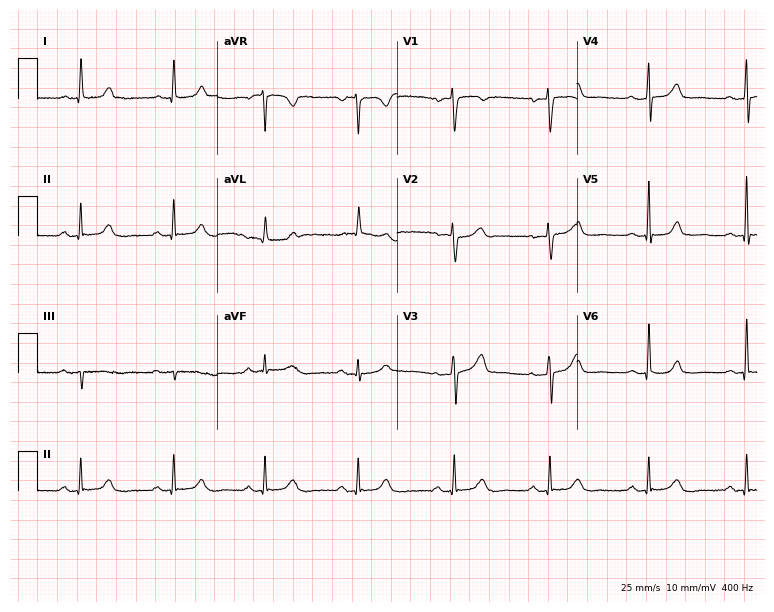
ECG — a 64-year-old female patient. Labelled as a normal ECG.